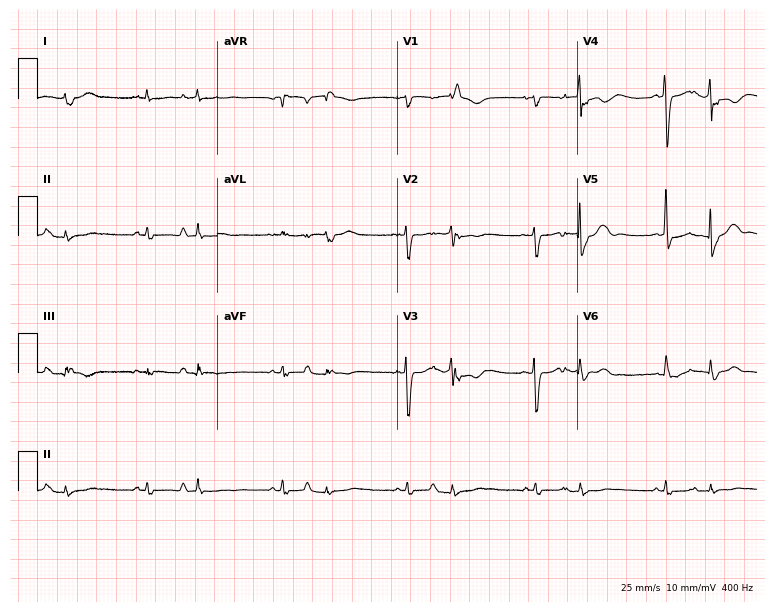
Resting 12-lead electrocardiogram (7.3-second recording at 400 Hz). Patient: a woman, 76 years old. None of these six findings is recorded: first-degree AV block, right bundle branch block, left bundle branch block, sinus bradycardia, atrial fibrillation, sinus tachycardia.